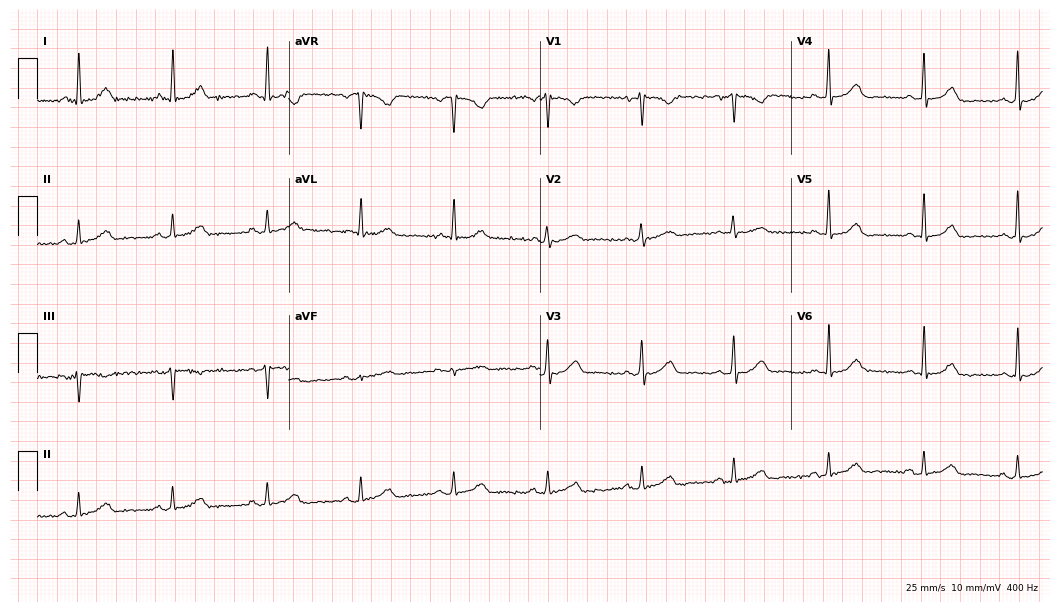
Standard 12-lead ECG recorded from a female, 53 years old (10.2-second recording at 400 Hz). Read as a normal ECG.